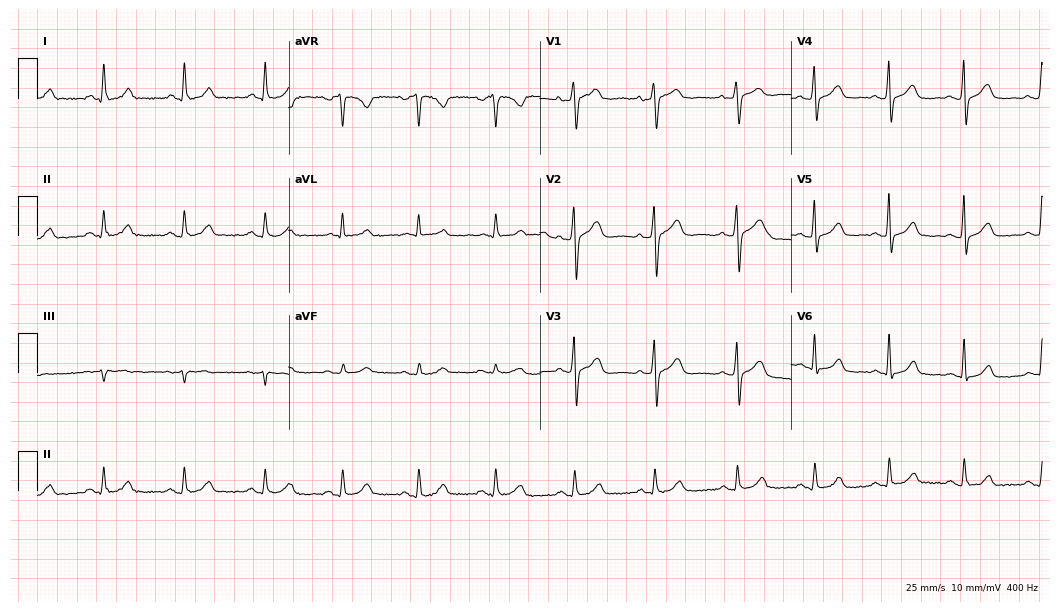
Standard 12-lead ECG recorded from a 46-year-old female. Read as a normal ECG.